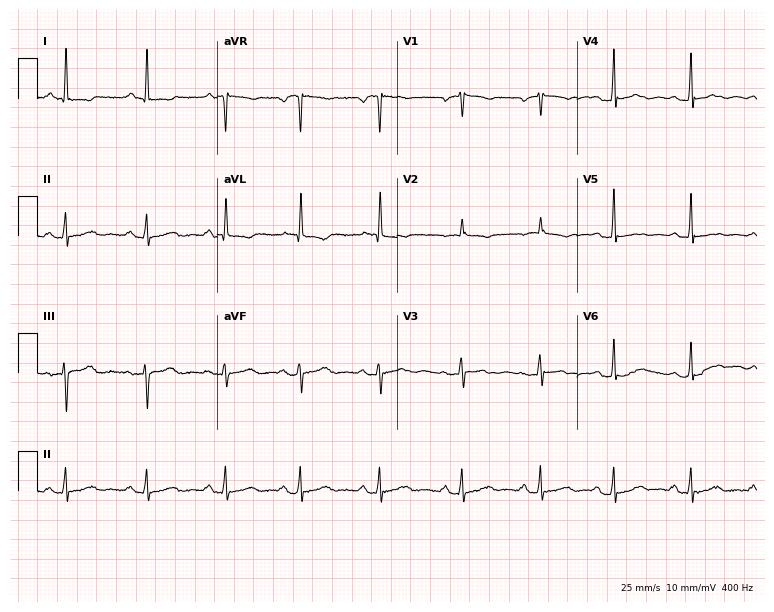
Electrocardiogram, a female, 67 years old. Of the six screened findings (first-degree AV block, right bundle branch block, left bundle branch block, sinus bradycardia, atrial fibrillation, sinus tachycardia), none is recorded. Other findings, if any, are not listed.